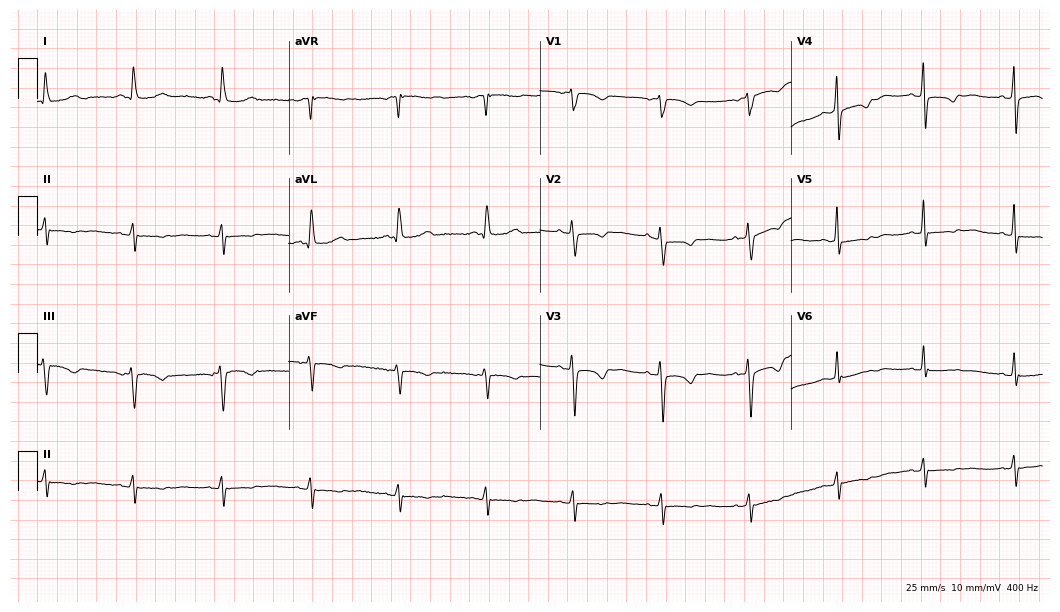
Resting 12-lead electrocardiogram. Patient: a 78-year-old female. None of these six findings is recorded: first-degree AV block, right bundle branch block, left bundle branch block, sinus bradycardia, atrial fibrillation, sinus tachycardia.